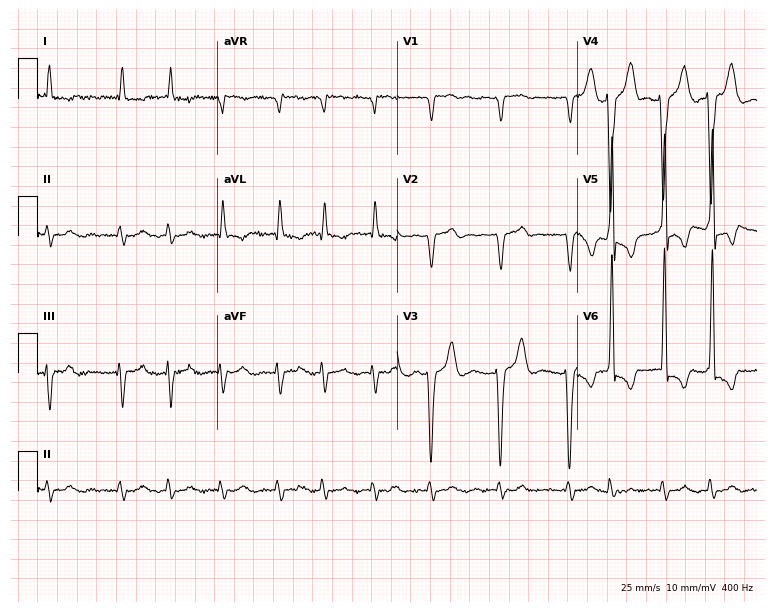
Standard 12-lead ECG recorded from a 72-year-old man. The tracing shows atrial fibrillation.